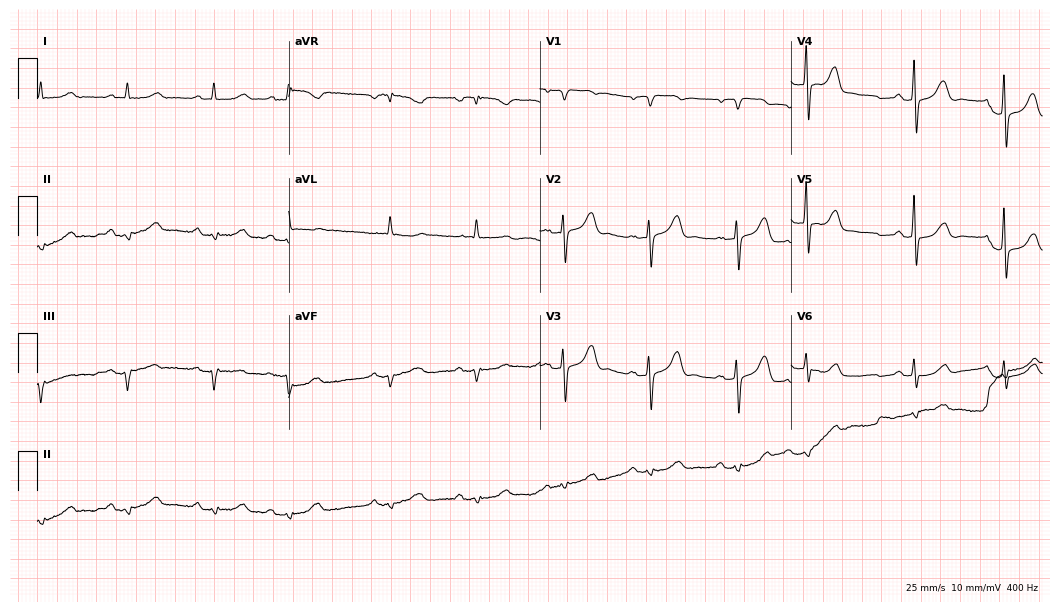
ECG (10.2-second recording at 400 Hz) — a 79-year-old male patient. Labelled as a normal ECG.